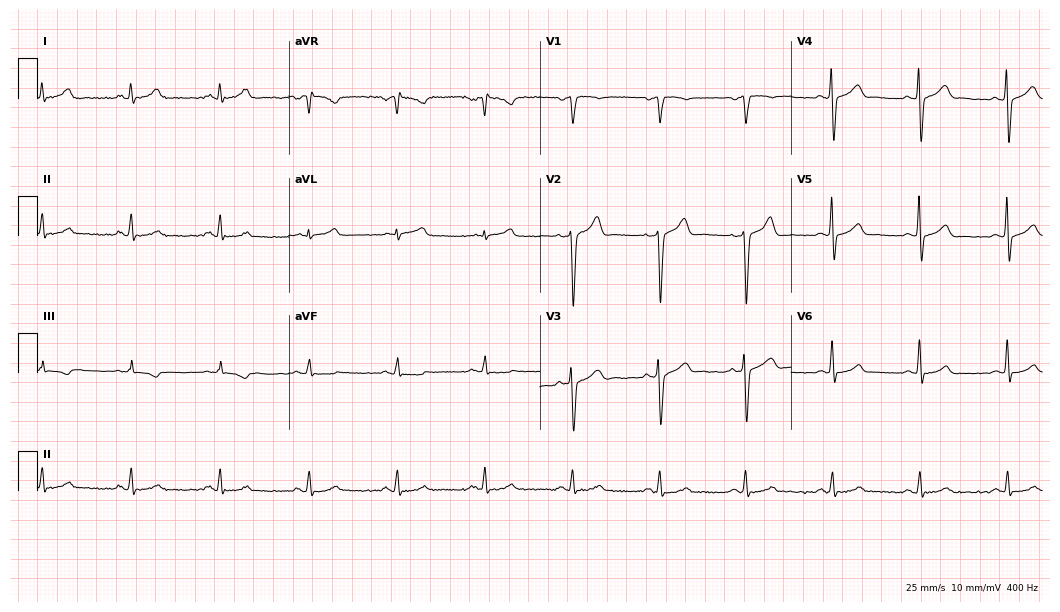
ECG (10.2-second recording at 400 Hz) — a male, 51 years old. Labelled as a normal ECG.